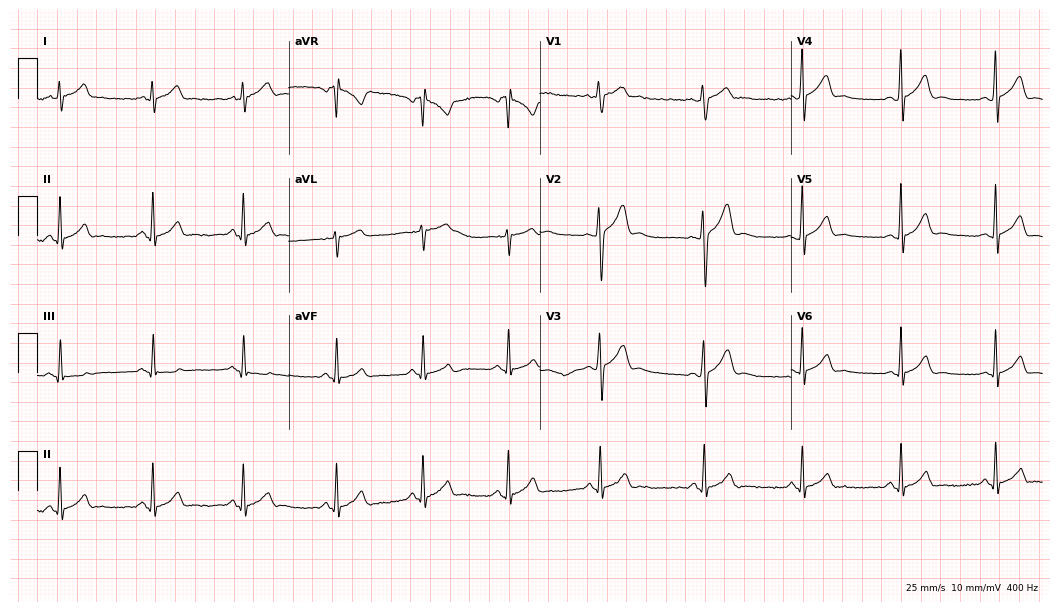
12-lead ECG from a male, 20 years old. Recorded interpretation: within normal limits.